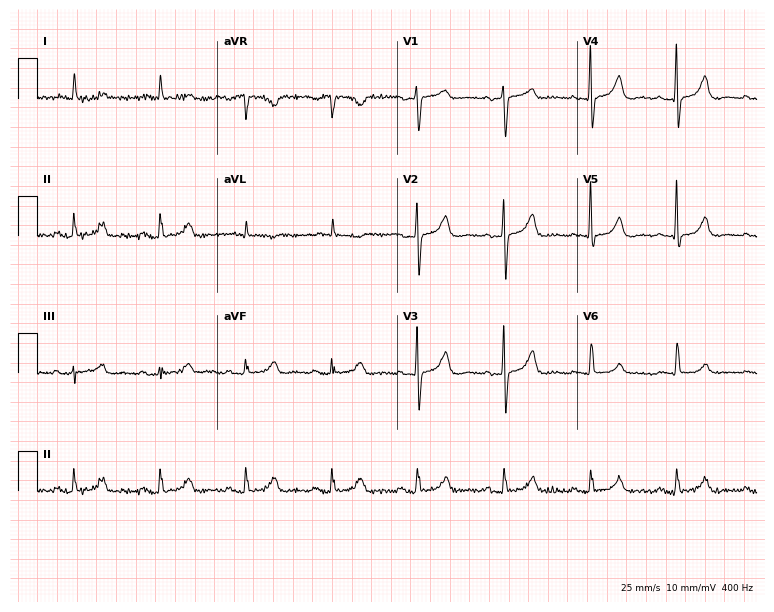
ECG — an 81-year-old female patient. Screened for six findings — first-degree AV block, right bundle branch block, left bundle branch block, sinus bradycardia, atrial fibrillation, sinus tachycardia — none is recorded. Other findings, if any, are not listed.